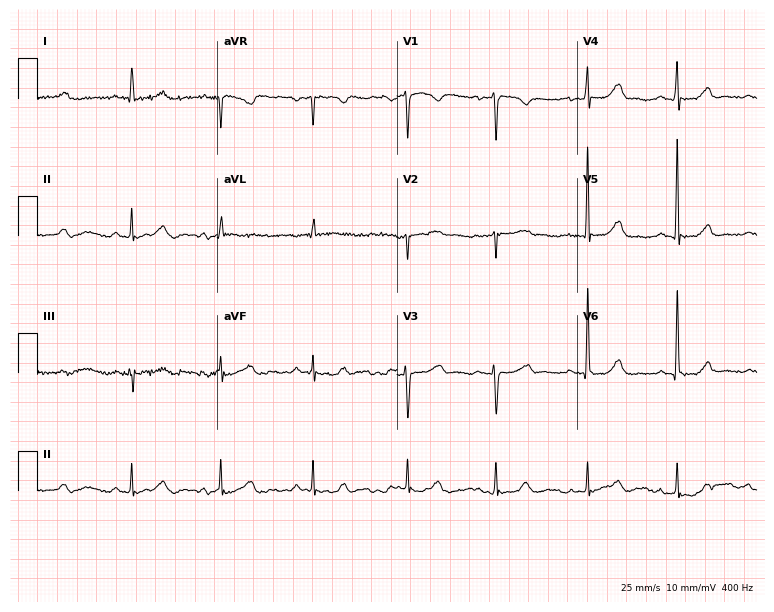
ECG (7.3-second recording at 400 Hz) — a female patient, 48 years old. Labelled as a normal ECG.